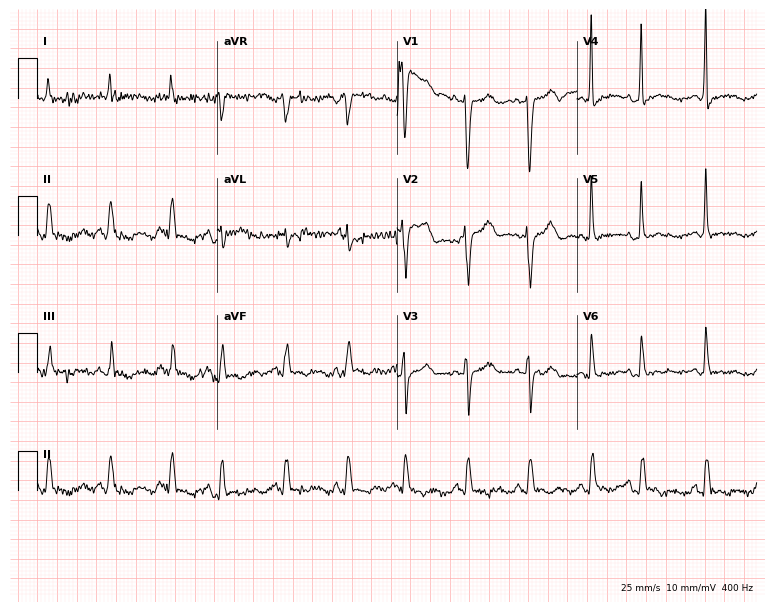
12-lead ECG from a 79-year-old female patient. No first-degree AV block, right bundle branch block (RBBB), left bundle branch block (LBBB), sinus bradycardia, atrial fibrillation (AF) or sinus tachycardia recorded for this tracing.